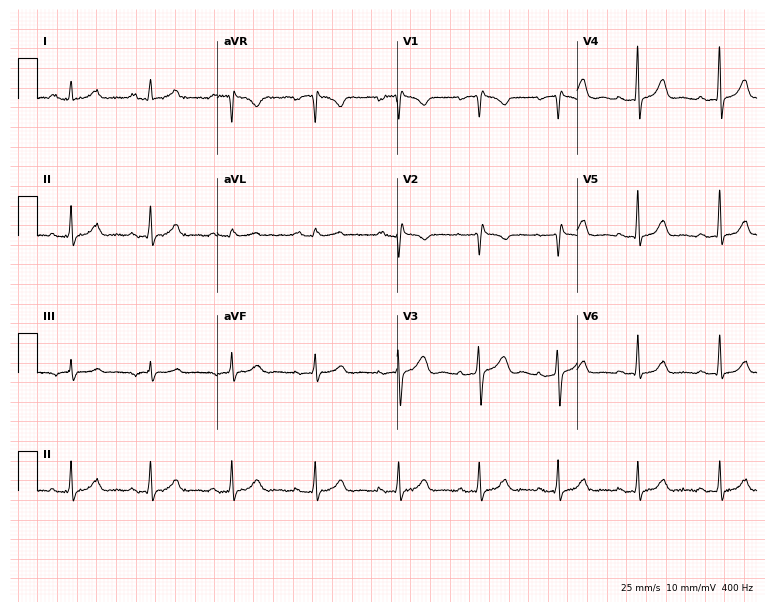
Electrocardiogram (7.3-second recording at 400 Hz), a 47-year-old female. Overall reading on record: normal ECG.